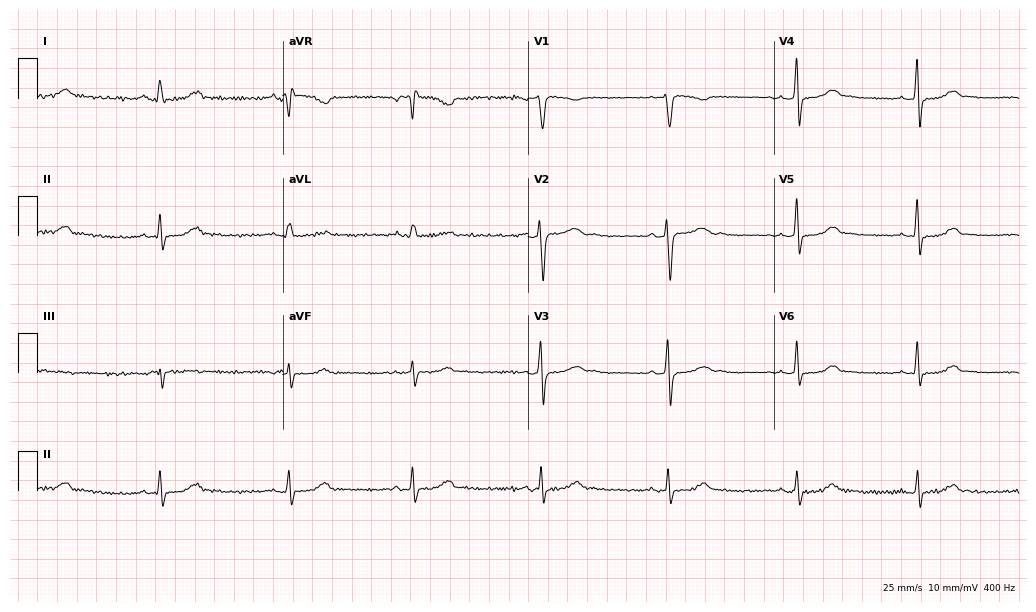
Resting 12-lead electrocardiogram (10-second recording at 400 Hz). Patient: a female, 40 years old. The tracing shows sinus bradycardia (a sinus rate of 50 beats per minute or less).